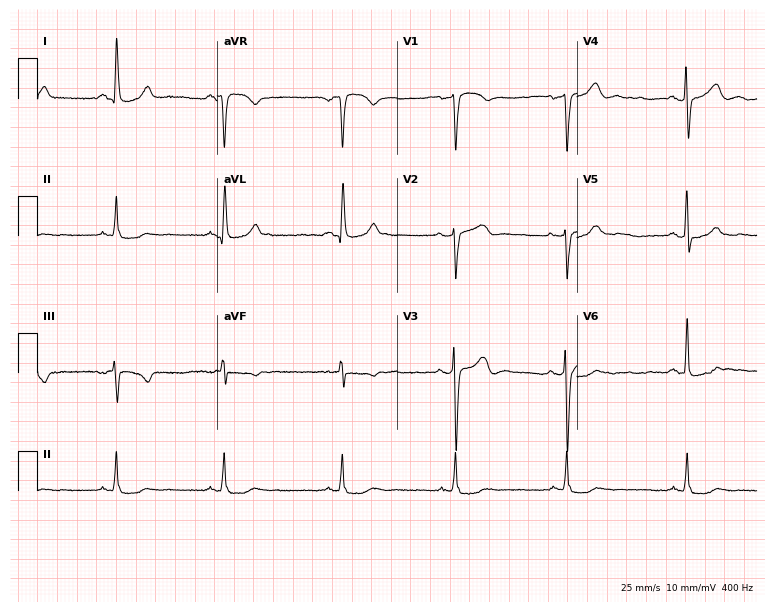
12-lead ECG from a woman, 51 years old. Screened for six findings — first-degree AV block, right bundle branch block (RBBB), left bundle branch block (LBBB), sinus bradycardia, atrial fibrillation (AF), sinus tachycardia — none is recorded.